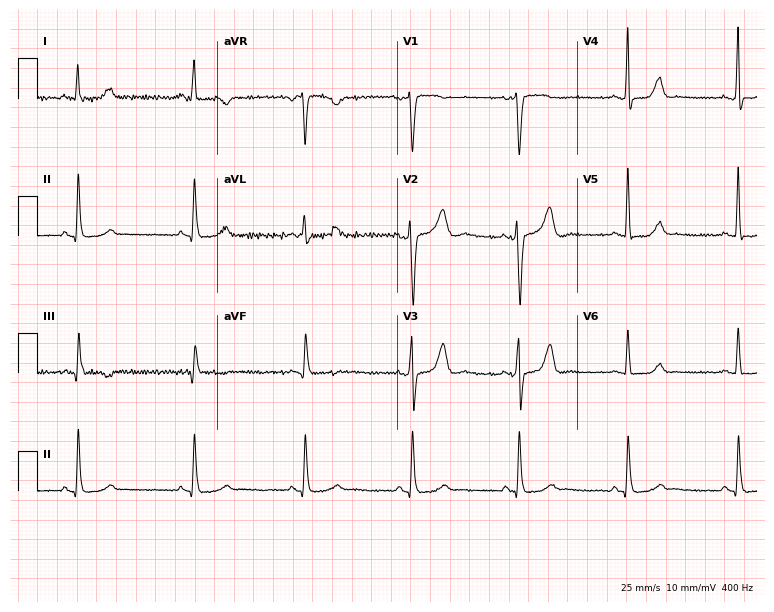
Resting 12-lead electrocardiogram (7.3-second recording at 400 Hz). Patient: a 49-year-old female. Read as a normal ECG.